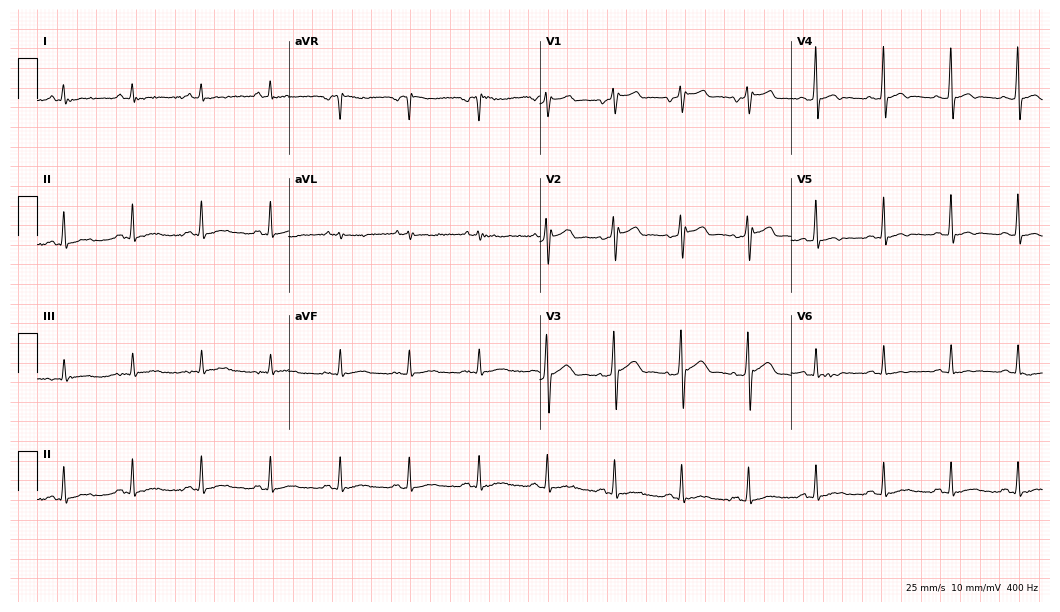
ECG (10.2-second recording at 400 Hz) — a 62-year-old male patient. Screened for six findings — first-degree AV block, right bundle branch block, left bundle branch block, sinus bradycardia, atrial fibrillation, sinus tachycardia — none is recorded.